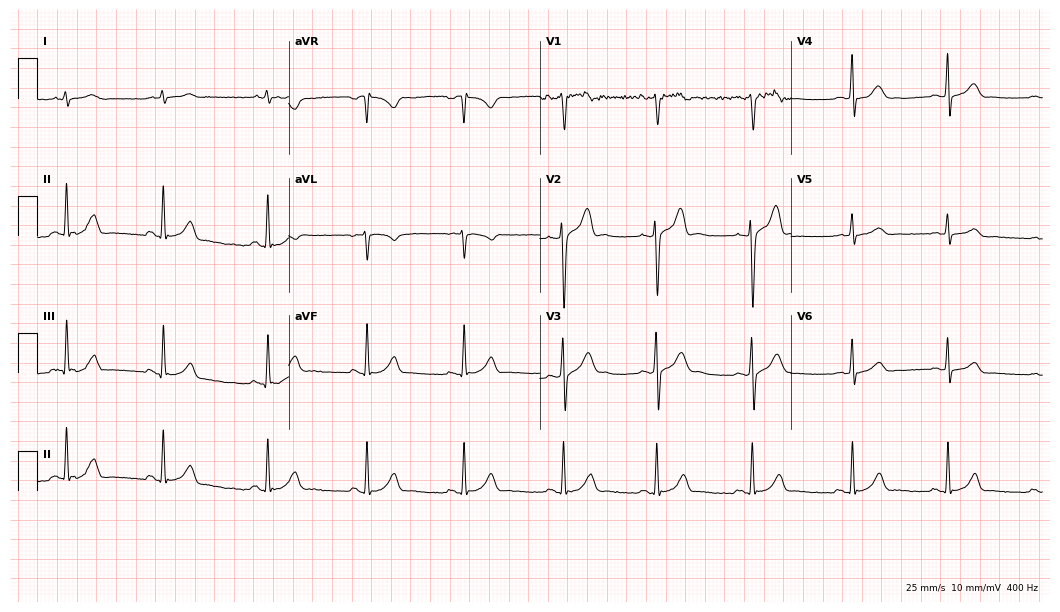
Electrocardiogram, a woman, 36 years old. Of the six screened findings (first-degree AV block, right bundle branch block (RBBB), left bundle branch block (LBBB), sinus bradycardia, atrial fibrillation (AF), sinus tachycardia), none is recorded. Findings outside these six are not listed.